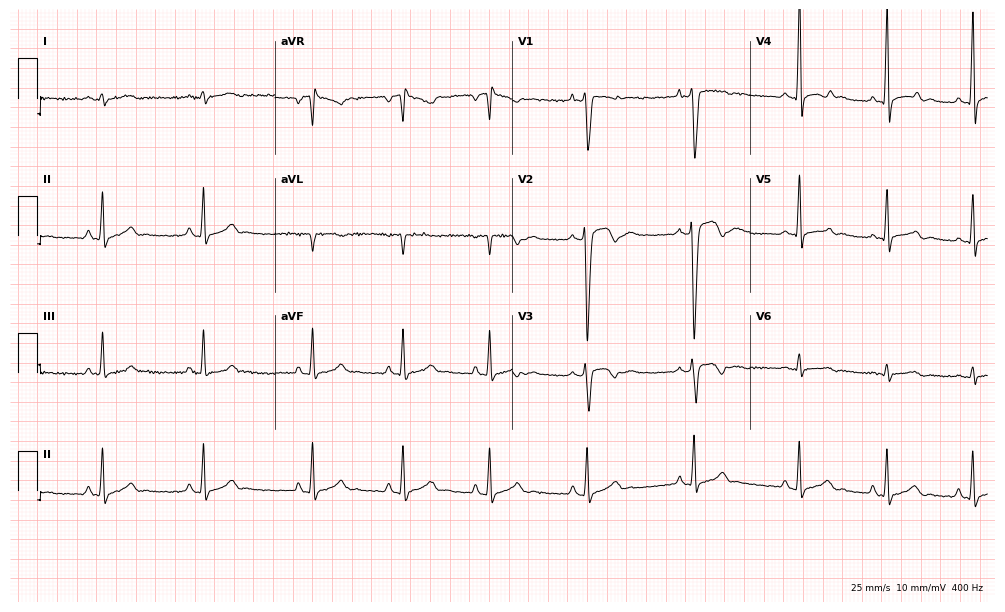
12-lead ECG from a male, 19 years old. Recorded interpretation: within normal limits.